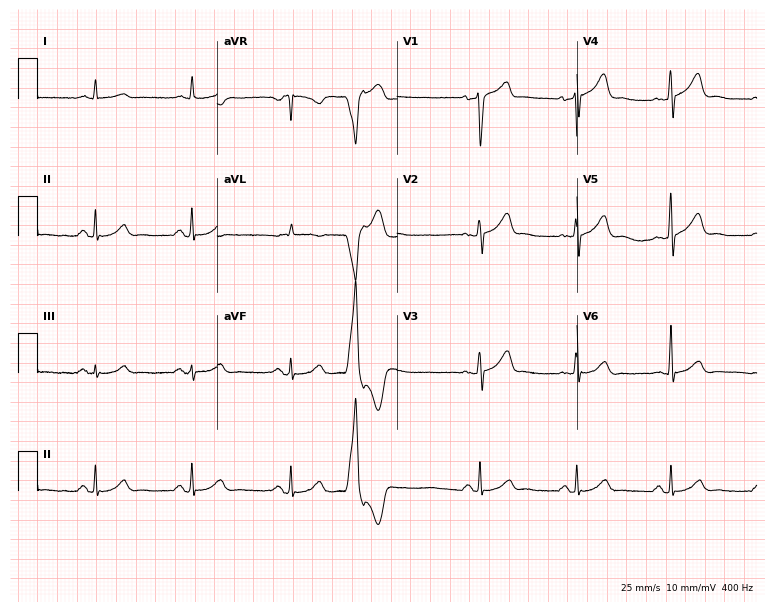
Resting 12-lead electrocardiogram. Patient: a male, 52 years old. None of these six findings is recorded: first-degree AV block, right bundle branch block, left bundle branch block, sinus bradycardia, atrial fibrillation, sinus tachycardia. Other findings, if any, are not listed.